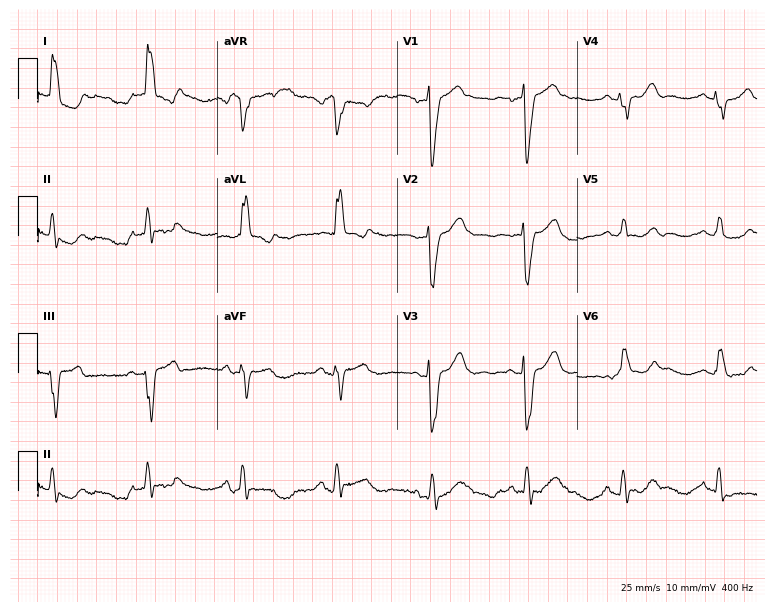
Electrocardiogram, a 66-year-old female. Interpretation includes left bundle branch block.